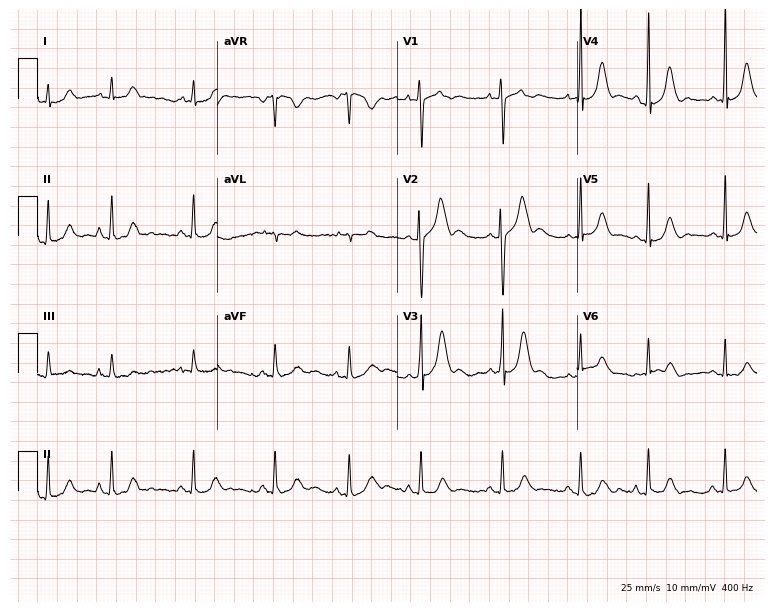
ECG — a woman, 29 years old. Screened for six findings — first-degree AV block, right bundle branch block, left bundle branch block, sinus bradycardia, atrial fibrillation, sinus tachycardia — none is recorded. Findings outside these six are not listed.